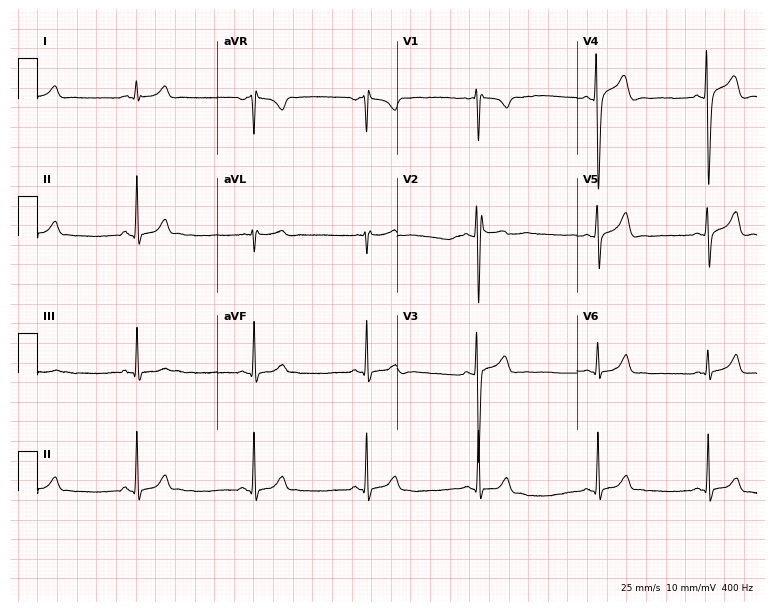
Resting 12-lead electrocardiogram (7.3-second recording at 400 Hz). Patient: a man, 22 years old. Read as a normal ECG.